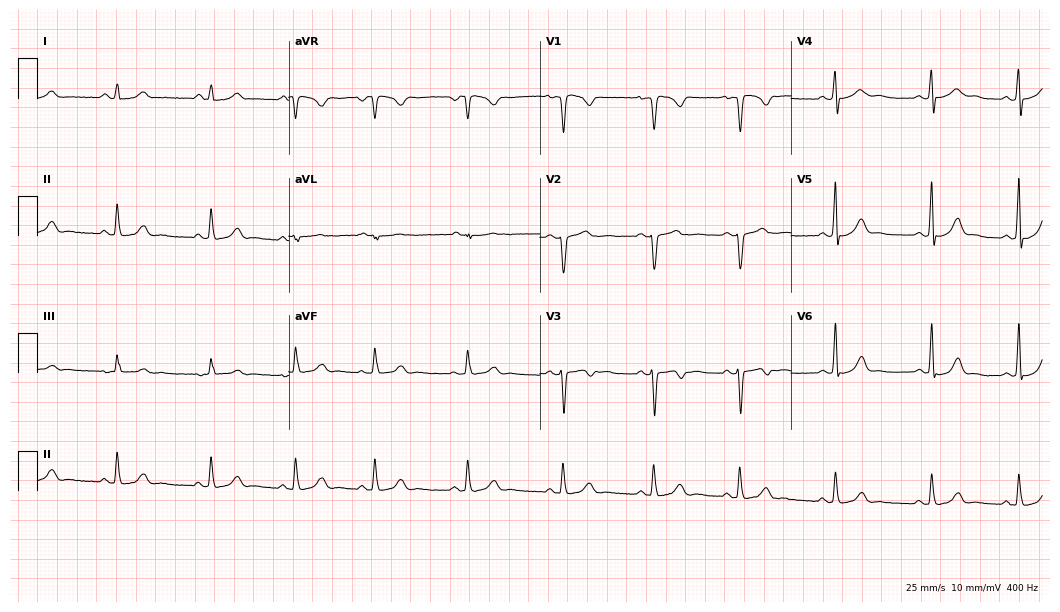
Electrocardiogram (10.2-second recording at 400 Hz), a woman, 19 years old. Overall reading on record: normal ECG.